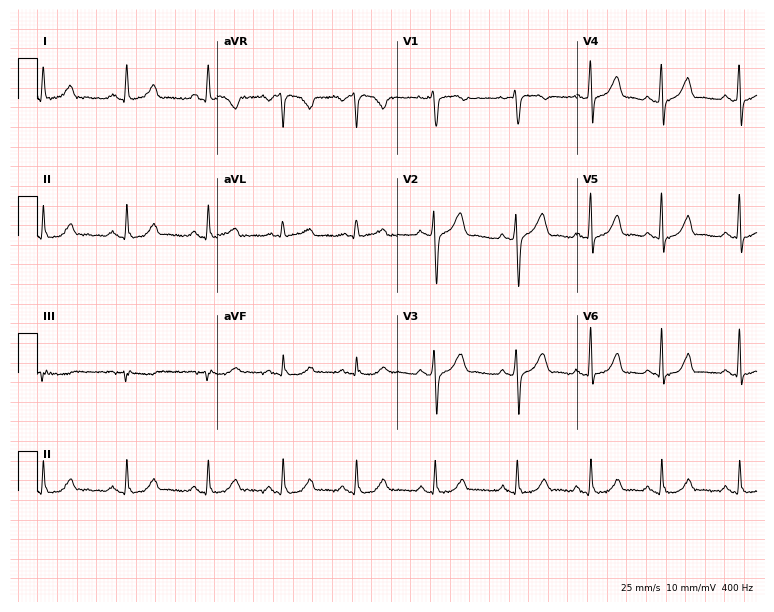
Electrocardiogram, a female patient, 35 years old. Overall reading on record: normal ECG.